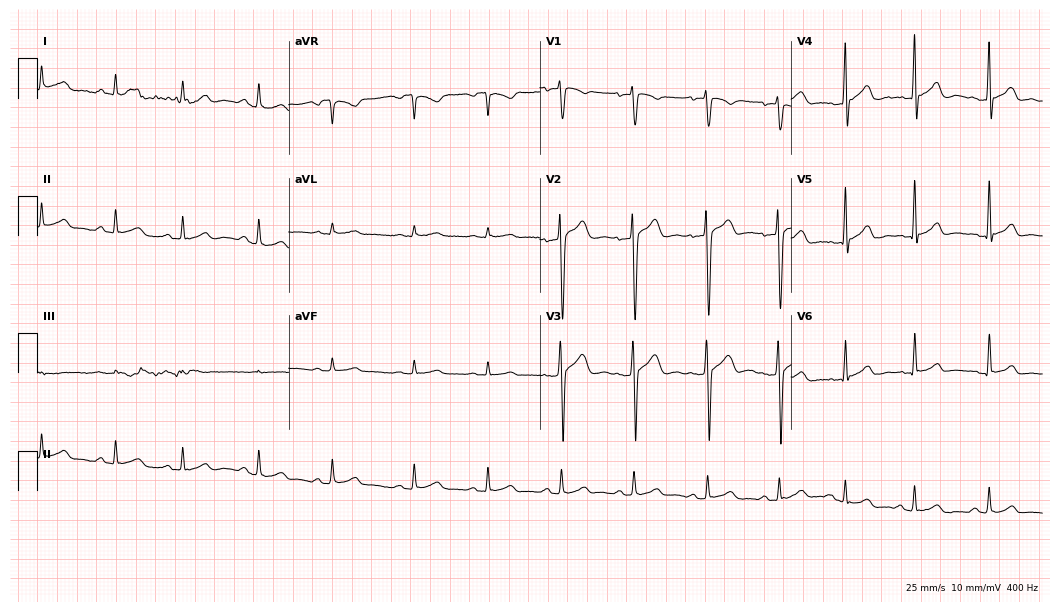
Resting 12-lead electrocardiogram. Patient: a man, 25 years old. None of these six findings is recorded: first-degree AV block, right bundle branch block (RBBB), left bundle branch block (LBBB), sinus bradycardia, atrial fibrillation (AF), sinus tachycardia.